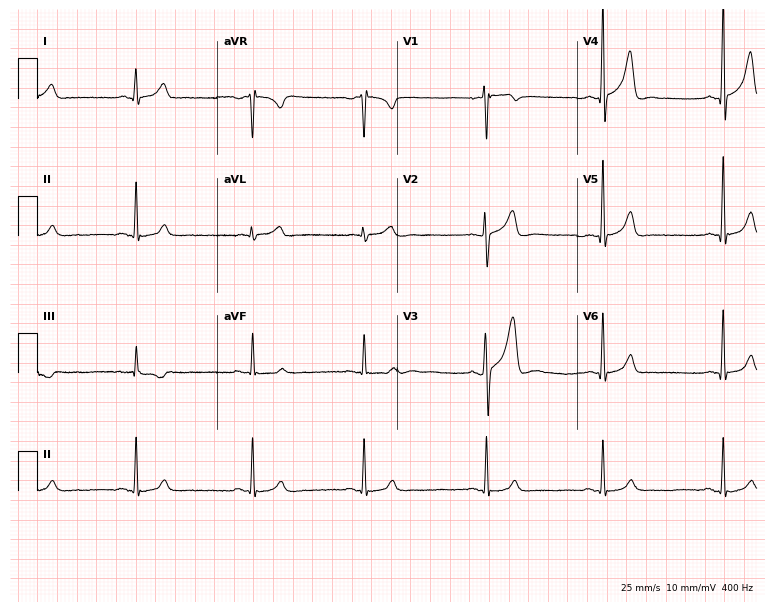
ECG (7.3-second recording at 400 Hz) — a male patient, 43 years old. Screened for six findings — first-degree AV block, right bundle branch block (RBBB), left bundle branch block (LBBB), sinus bradycardia, atrial fibrillation (AF), sinus tachycardia — none is recorded.